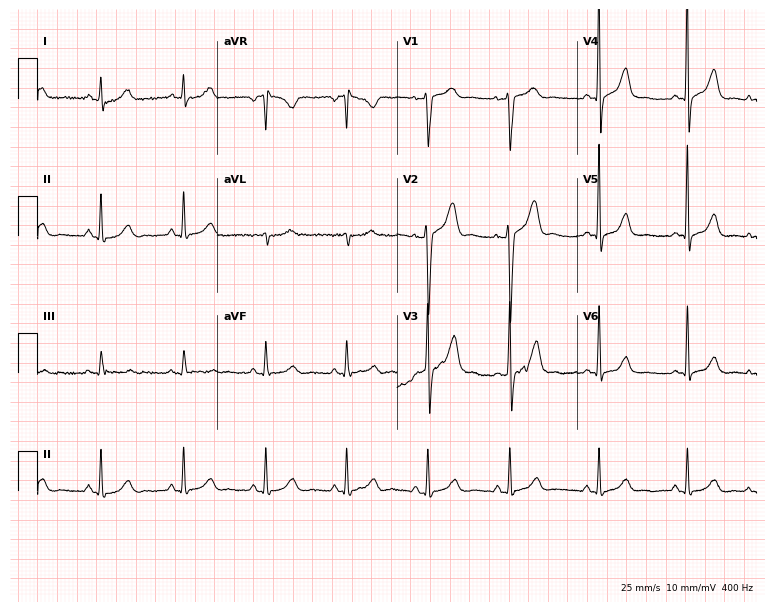
12-lead ECG from a male patient, 48 years old. Recorded interpretation: within normal limits.